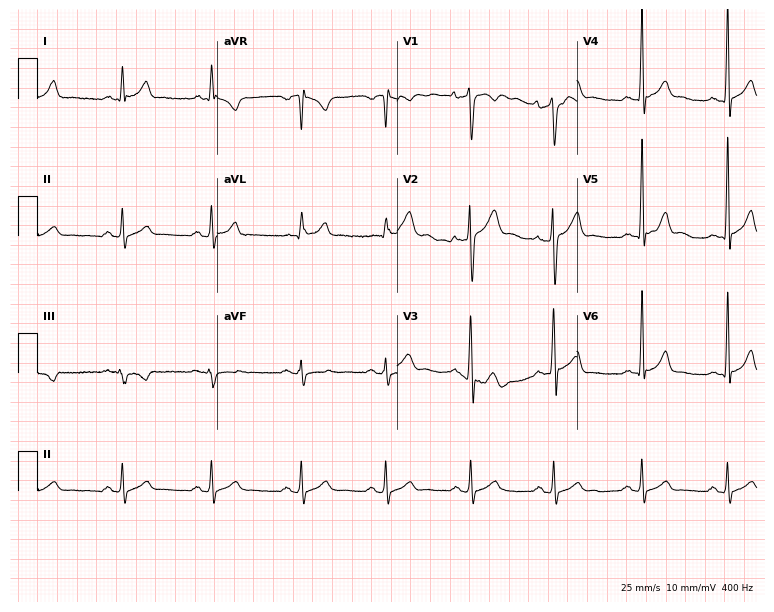
12-lead ECG from a man, 26 years old. Screened for six findings — first-degree AV block, right bundle branch block, left bundle branch block, sinus bradycardia, atrial fibrillation, sinus tachycardia — none is recorded.